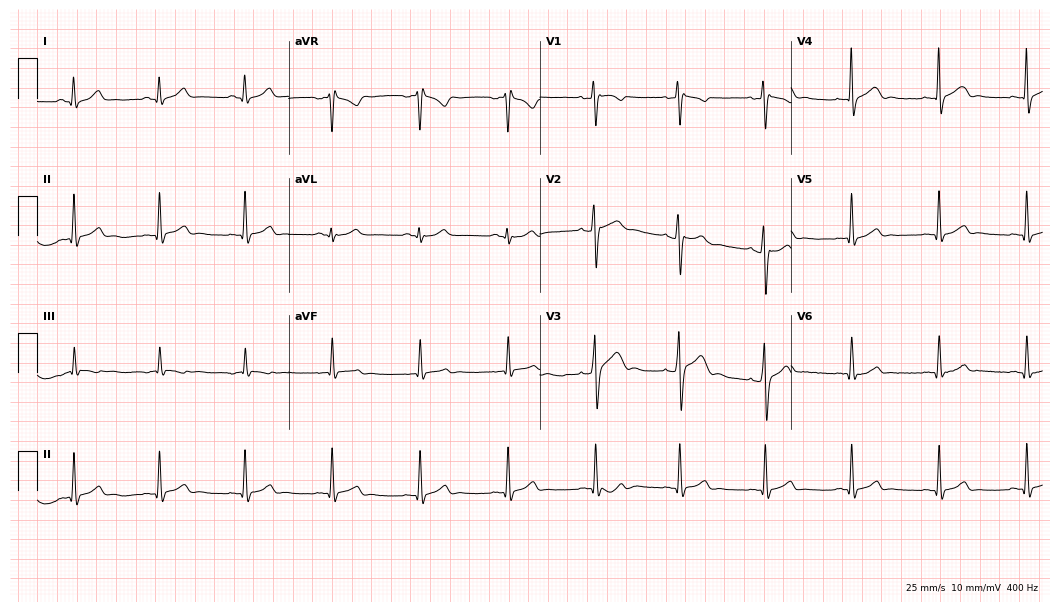
ECG (10.2-second recording at 400 Hz) — a man, 19 years old. Labelled as a normal ECG.